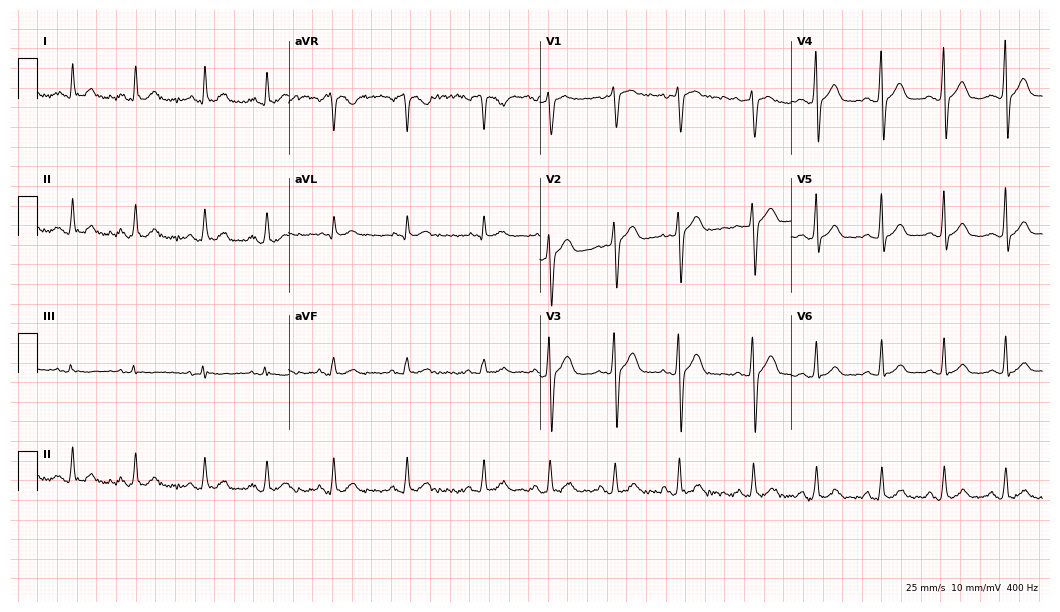
Standard 12-lead ECG recorded from a 44-year-old woman (10.2-second recording at 400 Hz). None of these six findings is recorded: first-degree AV block, right bundle branch block, left bundle branch block, sinus bradycardia, atrial fibrillation, sinus tachycardia. Findings outside these six are not listed.